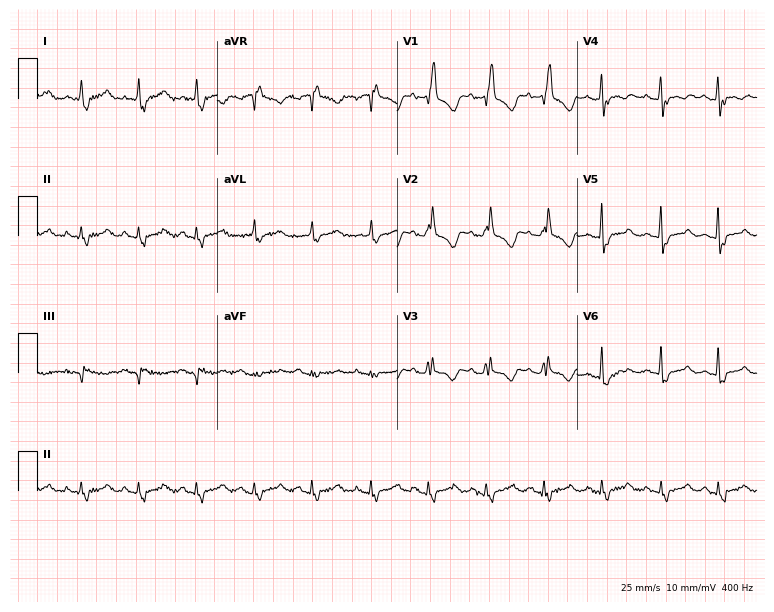
ECG — a 61-year-old woman. Findings include right bundle branch block (RBBB), sinus tachycardia (a sinus rate of 100 beats per minute or more).